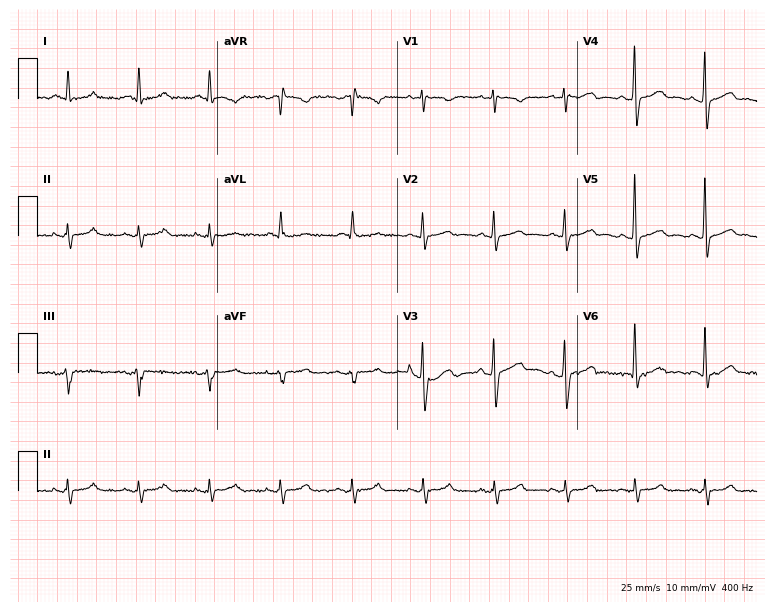
12-lead ECG from a 74-year-old man (7.3-second recording at 400 Hz). Recorded interpretation: within normal limits.